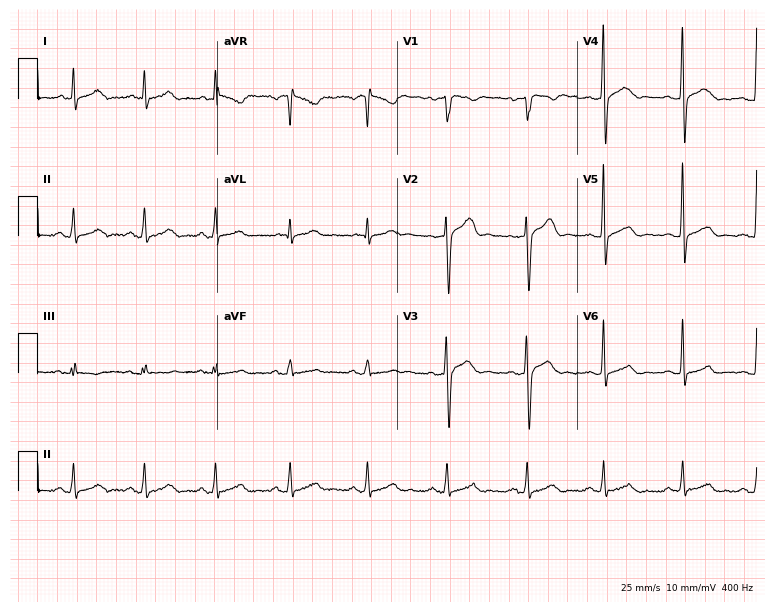
12-lead ECG from a male patient, 37 years old (7.3-second recording at 400 Hz). Recorded interpretation: within normal limits.